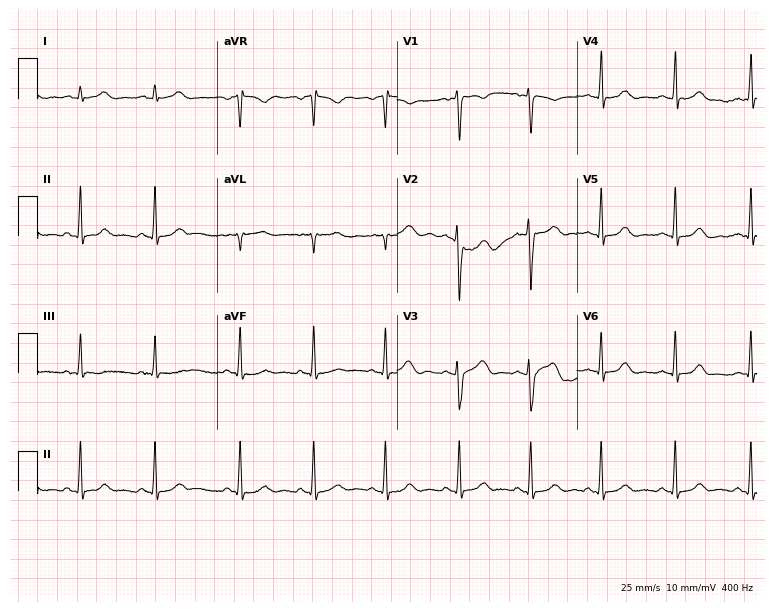
Electrocardiogram, a female patient, 28 years old. Overall reading on record: normal ECG.